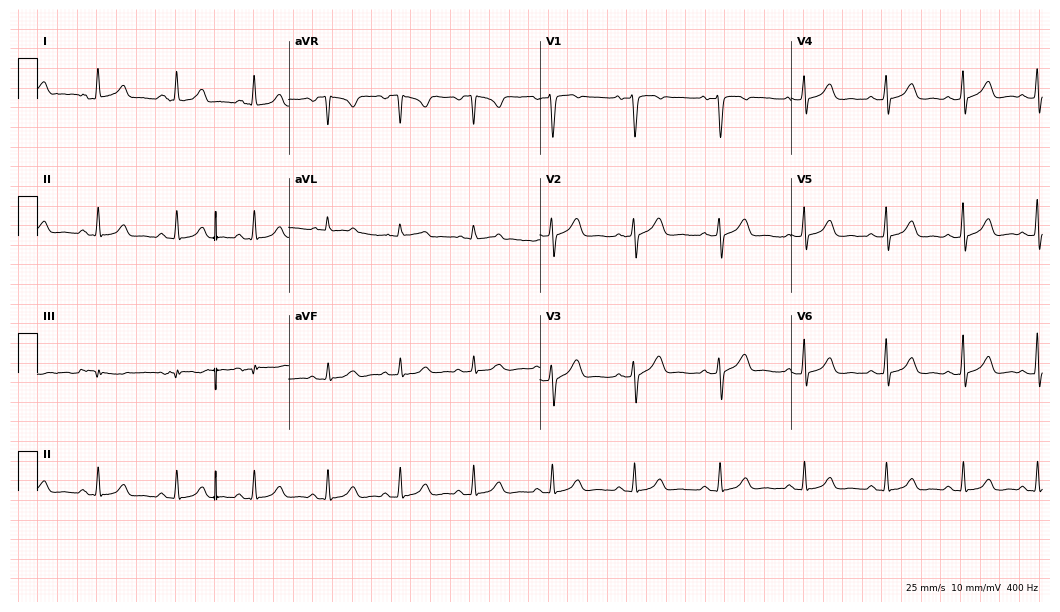
12-lead ECG from a woman, 36 years old (10.2-second recording at 400 Hz). Recorded interpretation: within normal limits.